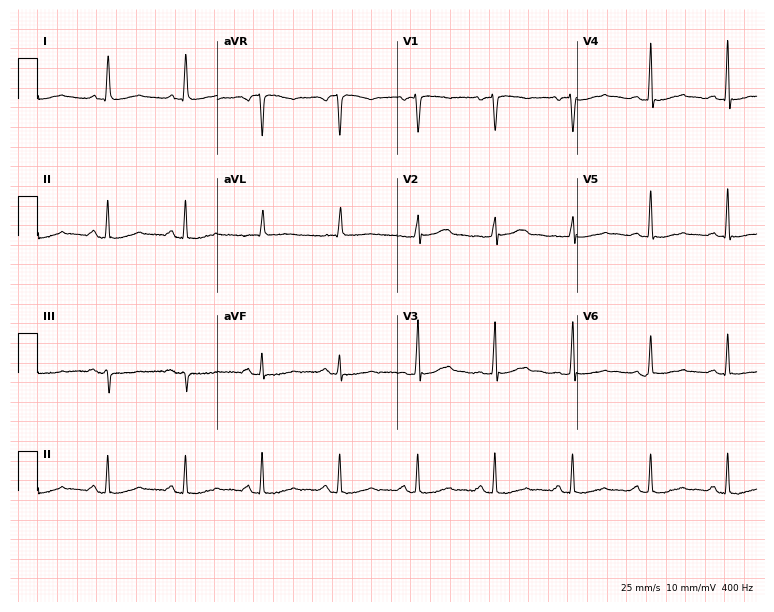
Resting 12-lead electrocardiogram. Patient: a 53-year-old female. None of these six findings is recorded: first-degree AV block, right bundle branch block, left bundle branch block, sinus bradycardia, atrial fibrillation, sinus tachycardia.